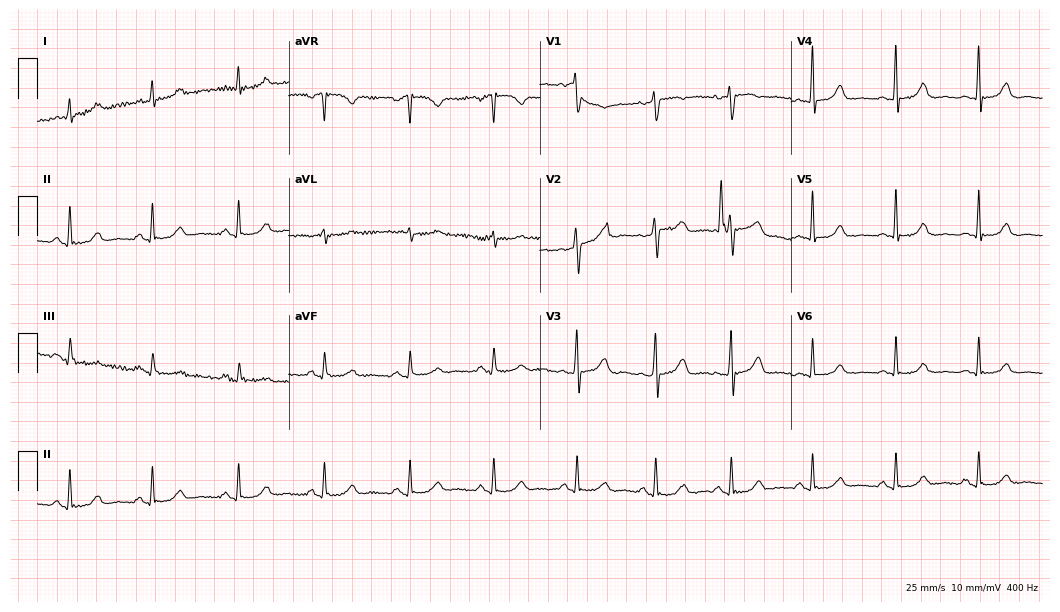
ECG — a 58-year-old woman. Labelled as a normal ECG.